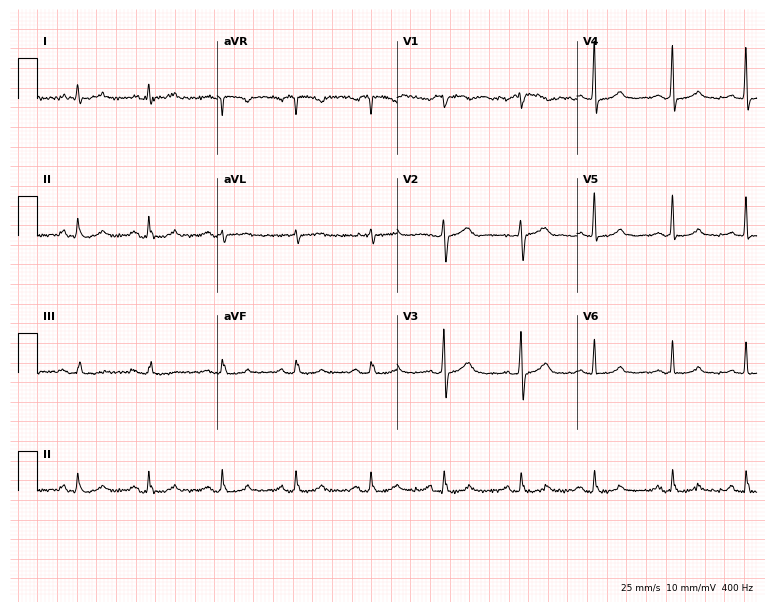
12-lead ECG from a female, 59 years old (7.3-second recording at 400 Hz). Recorded interpretation: within normal limits.